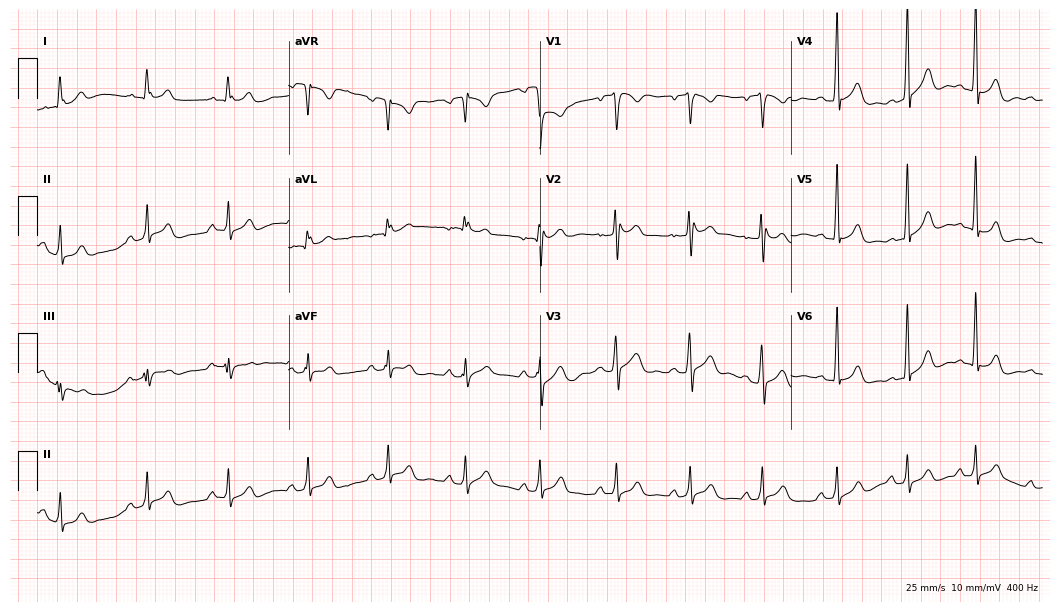
12-lead ECG from a male patient, 23 years old. Recorded interpretation: within normal limits.